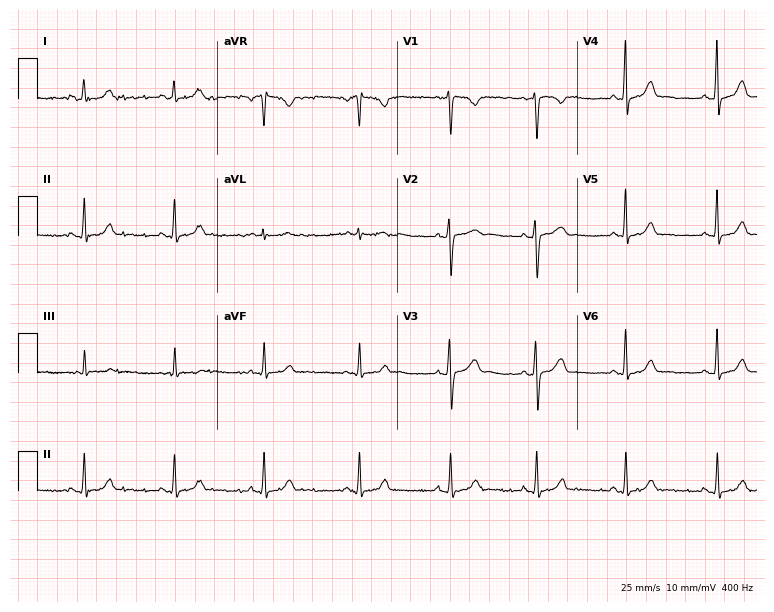
Electrocardiogram (7.3-second recording at 400 Hz), a 25-year-old female. Overall reading on record: normal ECG.